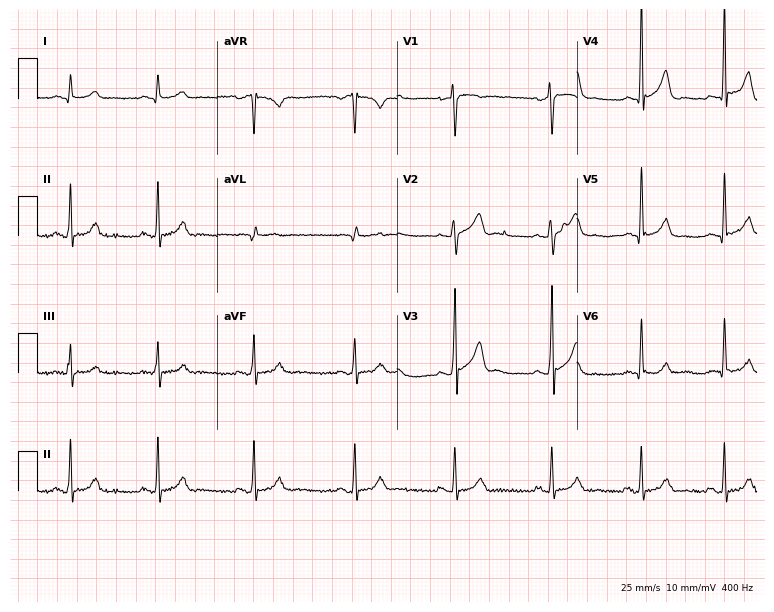
Electrocardiogram, a 35-year-old male. Of the six screened findings (first-degree AV block, right bundle branch block, left bundle branch block, sinus bradycardia, atrial fibrillation, sinus tachycardia), none is recorded. Other findings, if any, are not listed.